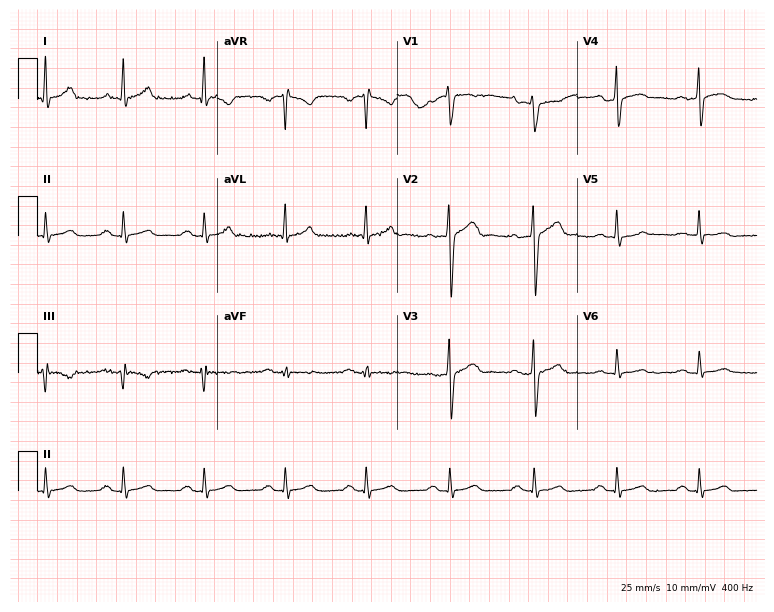
Resting 12-lead electrocardiogram. Patient: a male, 47 years old. Read as a normal ECG.